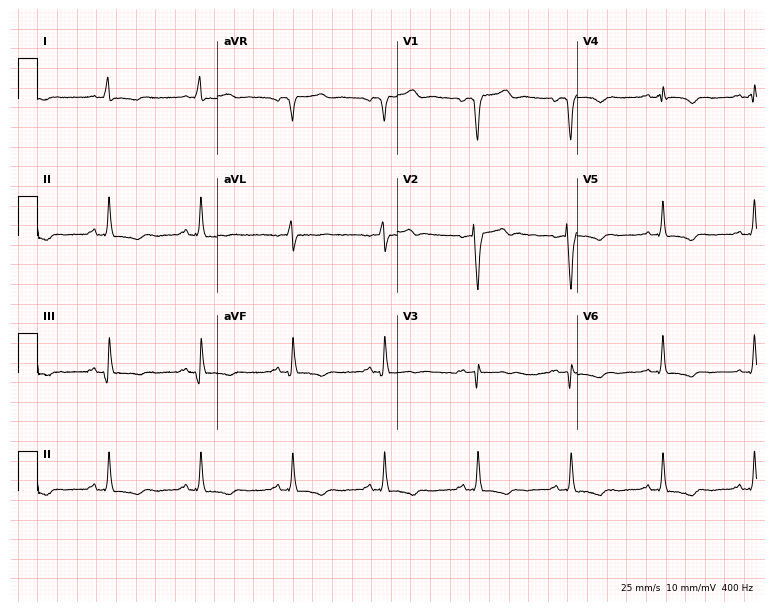
12-lead ECG from an 85-year-old male patient (7.3-second recording at 400 Hz). No first-degree AV block, right bundle branch block, left bundle branch block, sinus bradycardia, atrial fibrillation or sinus tachycardia recorded for this tracing. Findings outside these six are not listed.